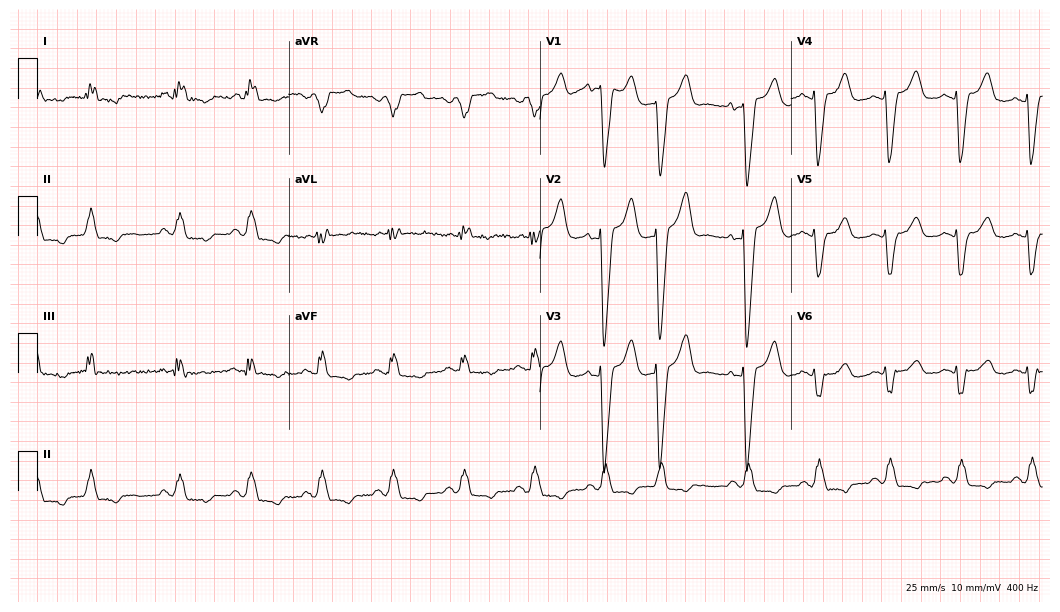
Standard 12-lead ECG recorded from a female patient, 70 years old. The tracing shows left bundle branch block.